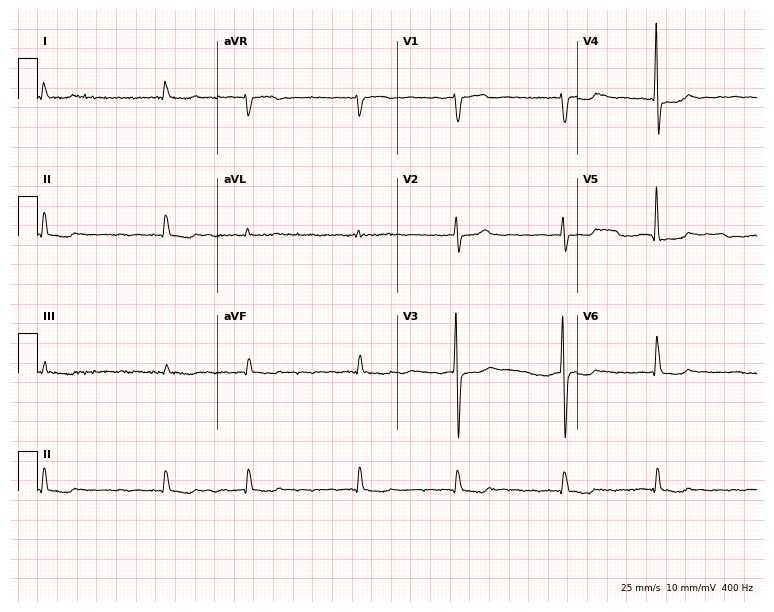
ECG — an 85-year-old male. Findings include atrial fibrillation (AF).